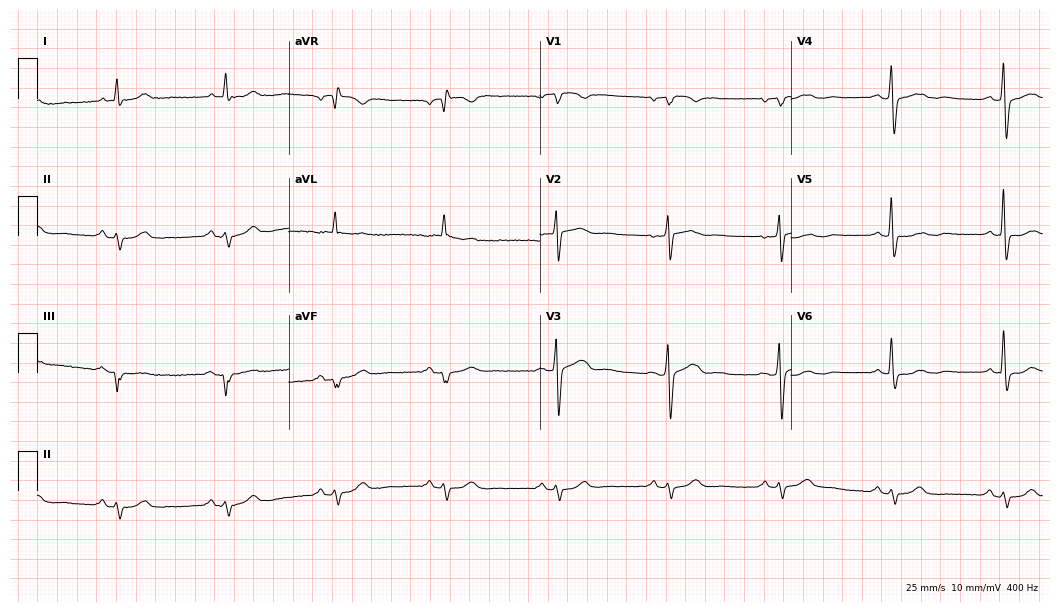
ECG — a 73-year-old man. Screened for six findings — first-degree AV block, right bundle branch block, left bundle branch block, sinus bradycardia, atrial fibrillation, sinus tachycardia — none is recorded.